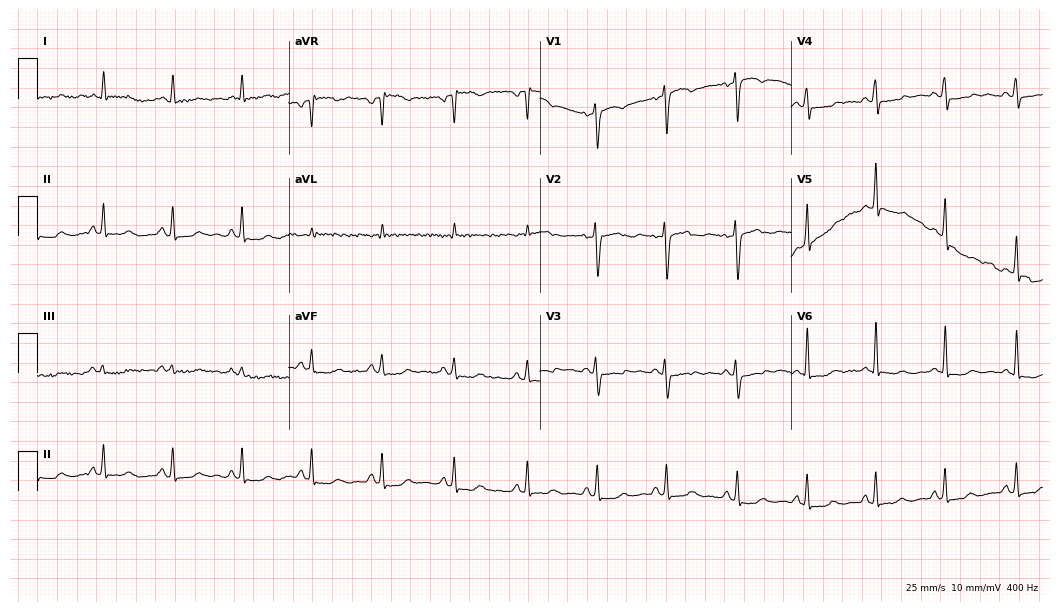
ECG (10.2-second recording at 400 Hz) — a woman, 43 years old. Screened for six findings — first-degree AV block, right bundle branch block, left bundle branch block, sinus bradycardia, atrial fibrillation, sinus tachycardia — none is recorded. Other findings, if any, are not listed.